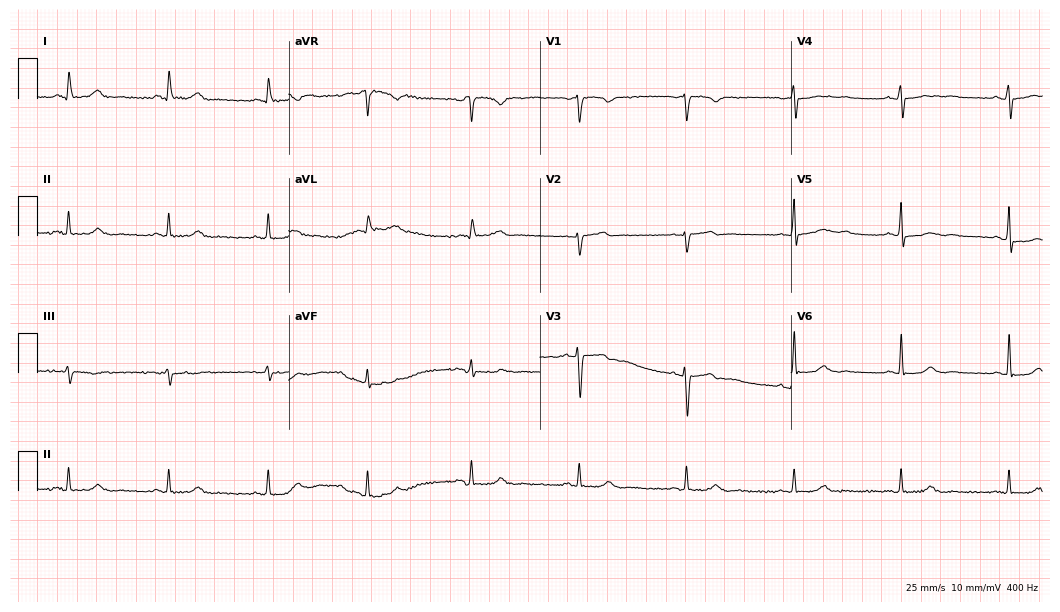
Standard 12-lead ECG recorded from a 52-year-old female patient. Read as a normal ECG.